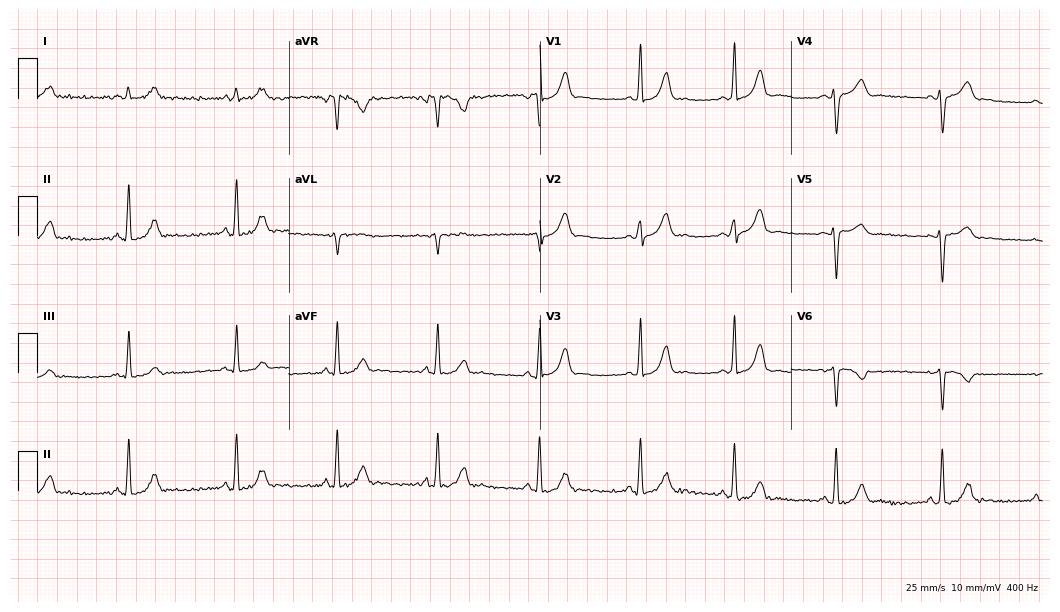
Resting 12-lead electrocardiogram. Patient: a female, 38 years old. None of these six findings is recorded: first-degree AV block, right bundle branch block, left bundle branch block, sinus bradycardia, atrial fibrillation, sinus tachycardia.